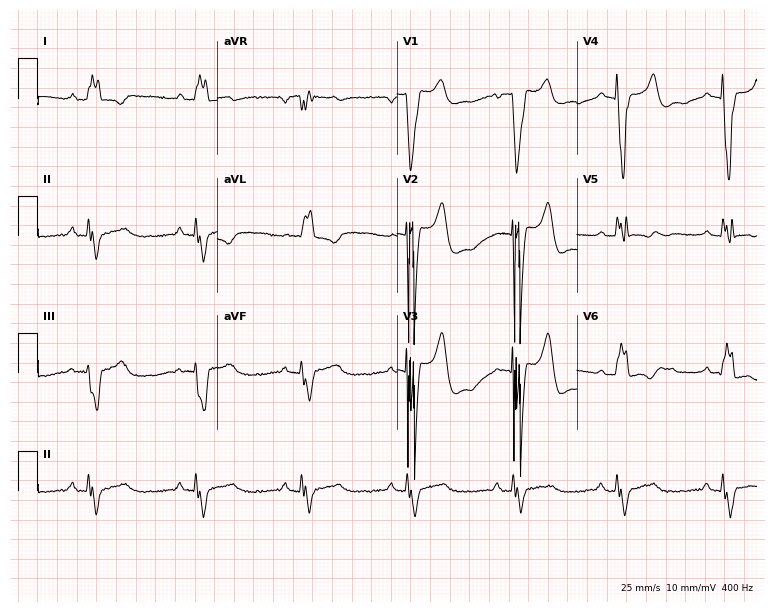
Resting 12-lead electrocardiogram (7.3-second recording at 400 Hz). Patient: an 81-year-old man. None of these six findings is recorded: first-degree AV block, right bundle branch block (RBBB), left bundle branch block (LBBB), sinus bradycardia, atrial fibrillation (AF), sinus tachycardia. Only these six findings were labelled.